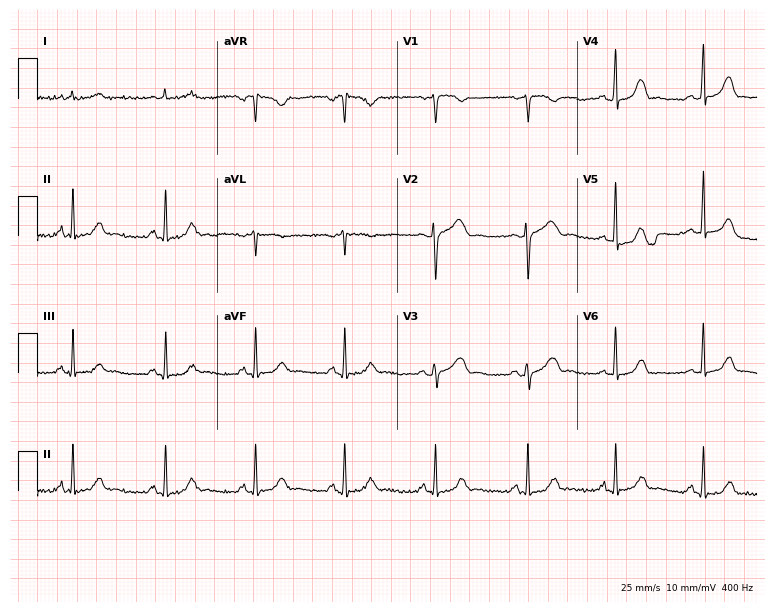
Resting 12-lead electrocardiogram (7.3-second recording at 400 Hz). Patient: a 46-year-old woman. Read as a normal ECG.